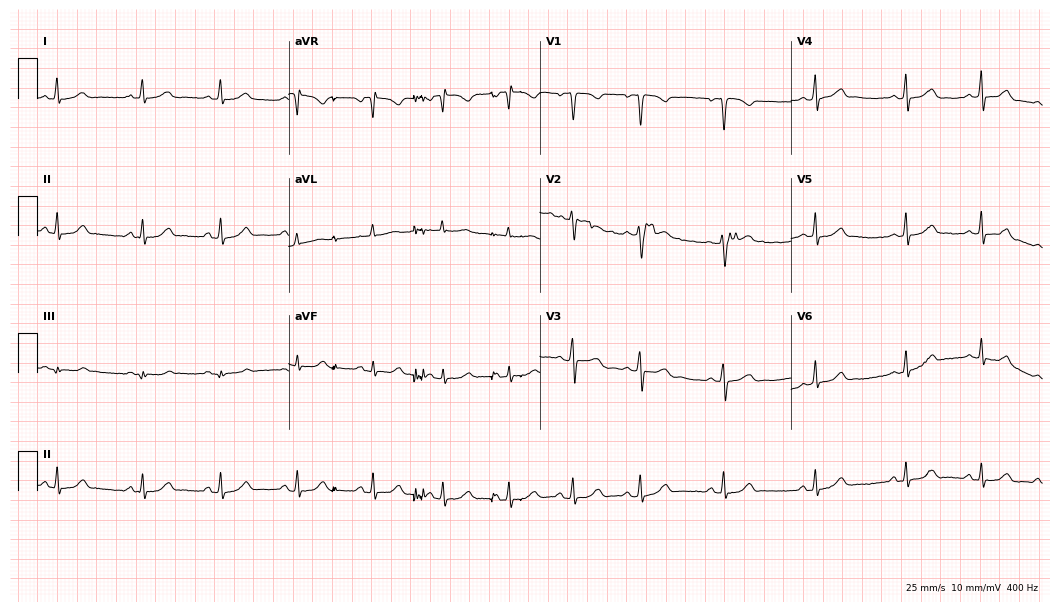
12-lead ECG from a female patient, 17 years old. Labelled as a normal ECG.